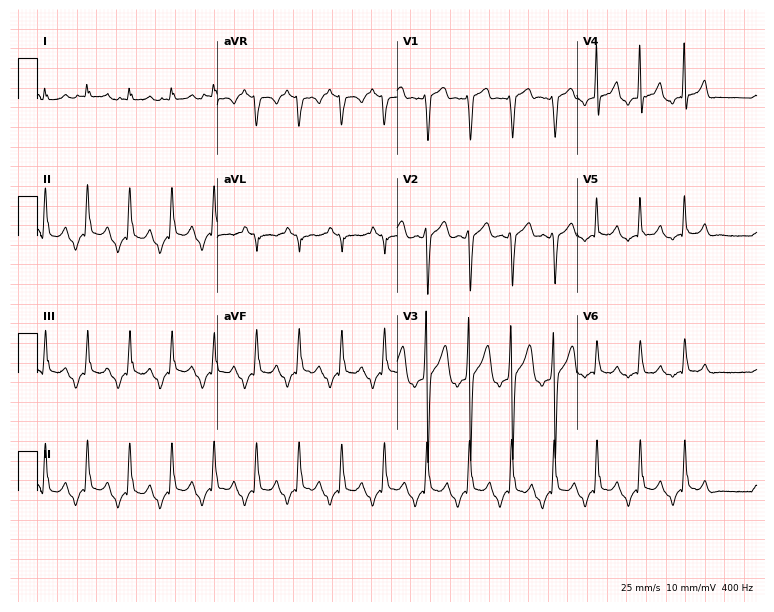
Standard 12-lead ECG recorded from a 55-year-old male patient (7.3-second recording at 400 Hz). None of these six findings is recorded: first-degree AV block, right bundle branch block (RBBB), left bundle branch block (LBBB), sinus bradycardia, atrial fibrillation (AF), sinus tachycardia. Only these six findings were labelled.